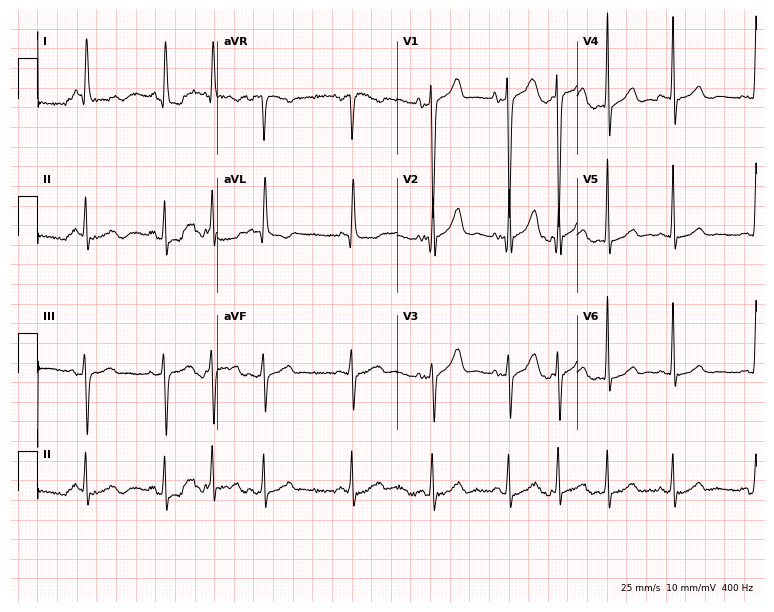
Resting 12-lead electrocardiogram. Patient: a female, 82 years old. None of these six findings is recorded: first-degree AV block, right bundle branch block, left bundle branch block, sinus bradycardia, atrial fibrillation, sinus tachycardia. Findings outside these six are not listed.